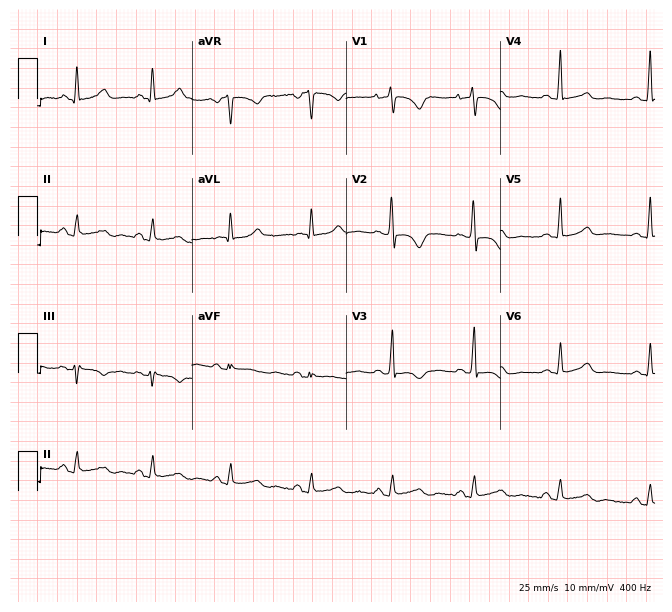
12-lead ECG from a 57-year-old woman (6.3-second recording at 400 Hz). No first-degree AV block, right bundle branch block (RBBB), left bundle branch block (LBBB), sinus bradycardia, atrial fibrillation (AF) or sinus tachycardia recorded for this tracing. Other findings, if any, are not listed.